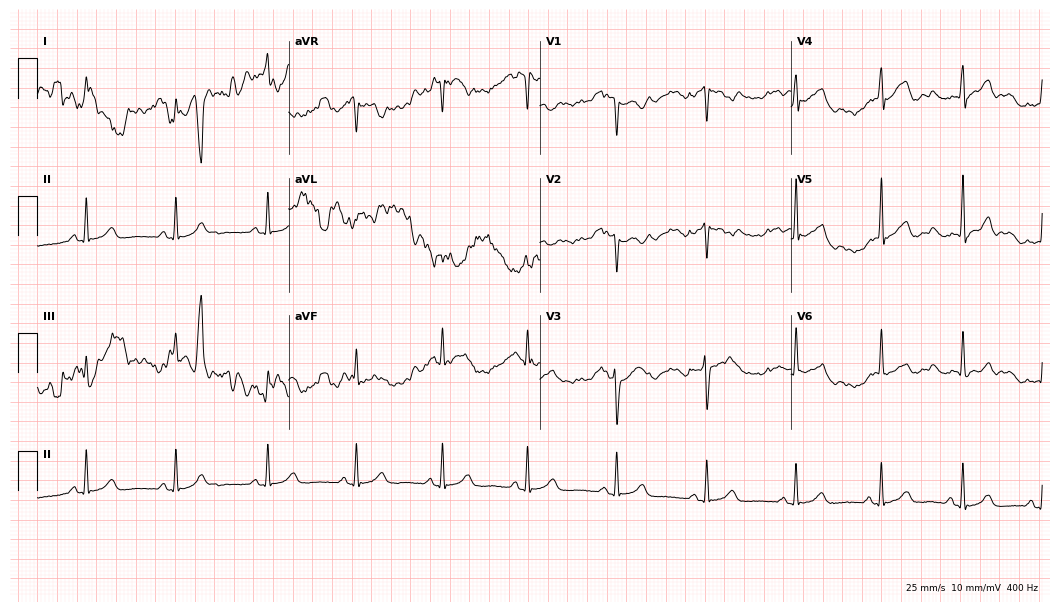
Resting 12-lead electrocardiogram (10.2-second recording at 400 Hz). Patient: a female, 52 years old. Read as a normal ECG.